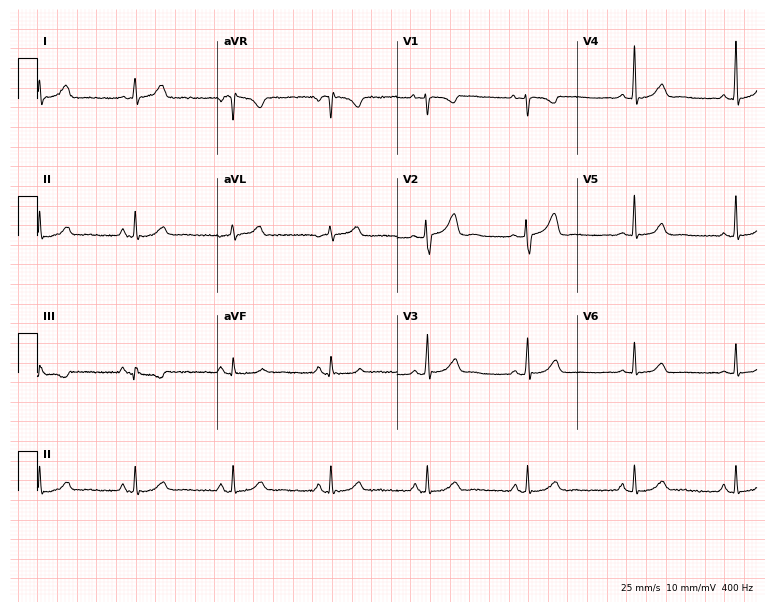
12-lead ECG from a 41-year-old woman (7.3-second recording at 400 Hz). Recorded interpretation: within normal limits.